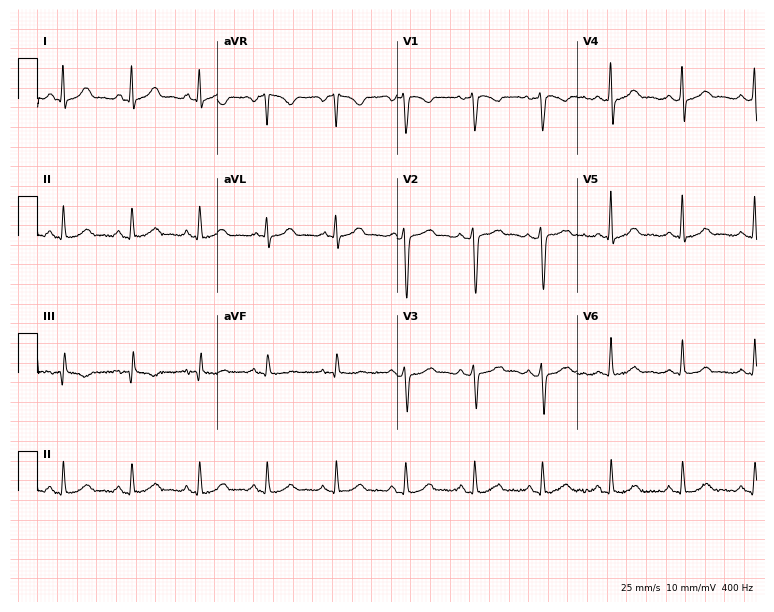
Standard 12-lead ECG recorded from a 45-year-old female patient. Read as a normal ECG.